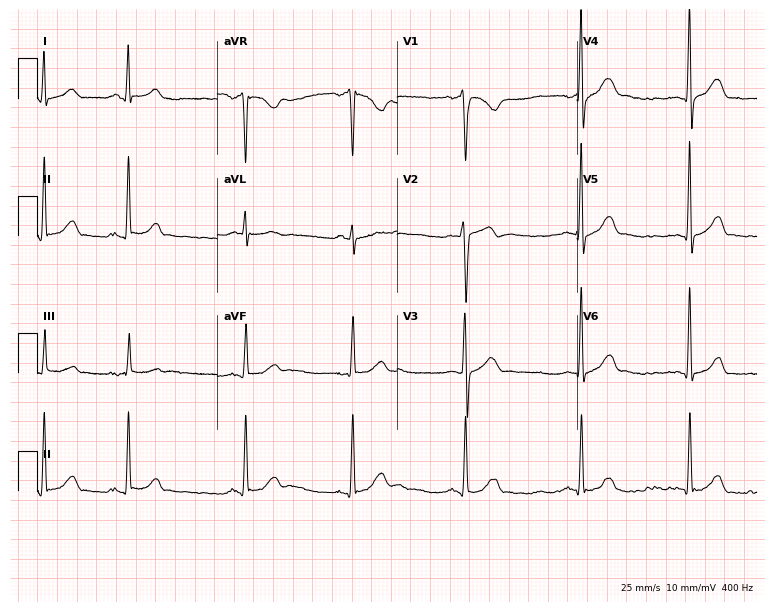
Resting 12-lead electrocardiogram. Patient: a 17-year-old male. Read as a normal ECG.